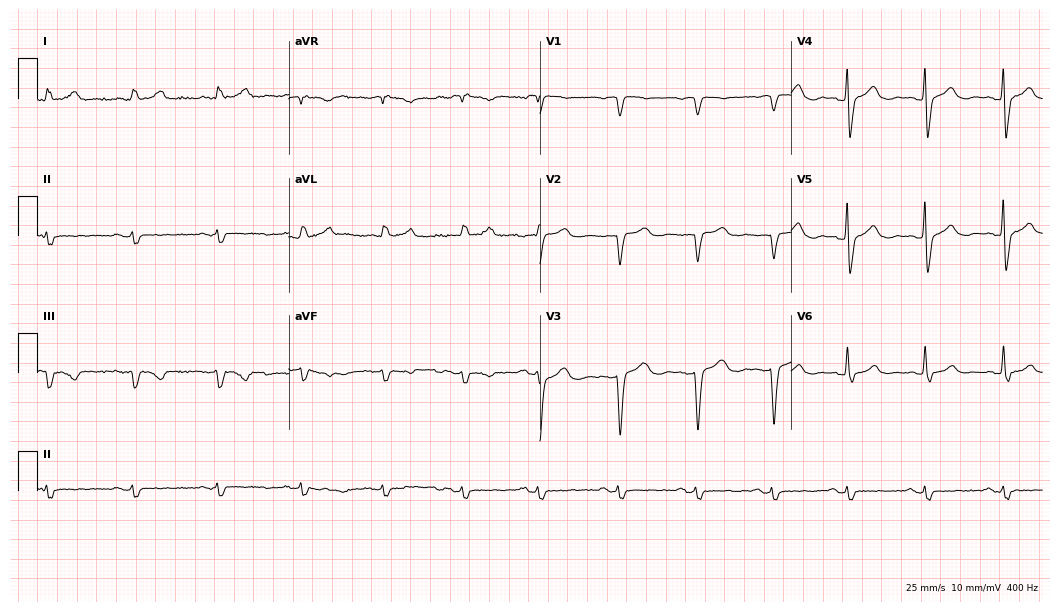
Resting 12-lead electrocardiogram. Patient: a female, 58 years old. None of these six findings is recorded: first-degree AV block, right bundle branch block, left bundle branch block, sinus bradycardia, atrial fibrillation, sinus tachycardia. Only these six findings were labelled.